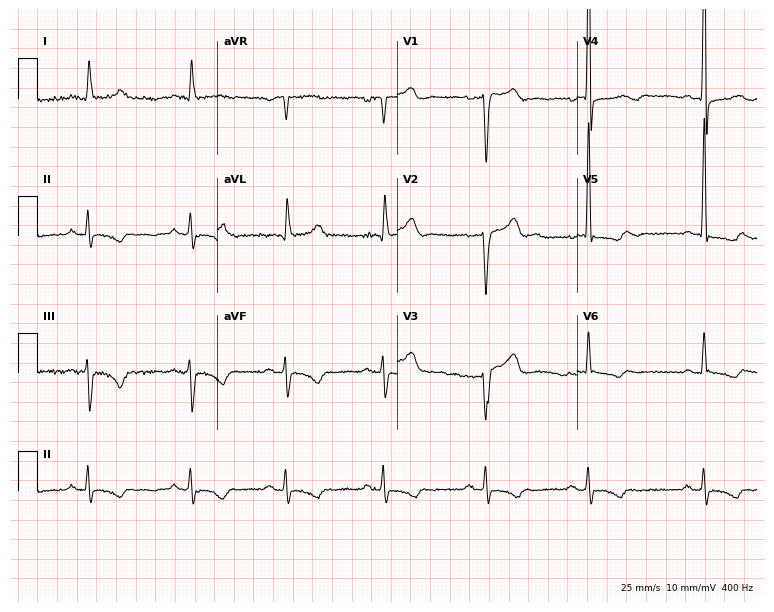
ECG — a 78-year-old male. Screened for six findings — first-degree AV block, right bundle branch block, left bundle branch block, sinus bradycardia, atrial fibrillation, sinus tachycardia — none is recorded.